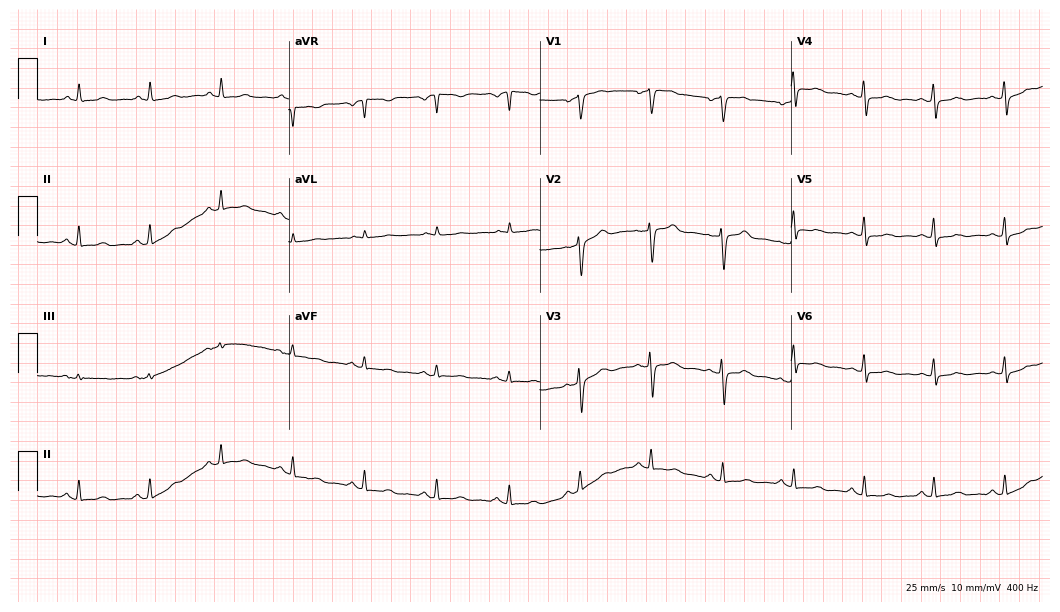
Electrocardiogram (10.2-second recording at 400 Hz), a 52-year-old woman. Of the six screened findings (first-degree AV block, right bundle branch block, left bundle branch block, sinus bradycardia, atrial fibrillation, sinus tachycardia), none is recorded.